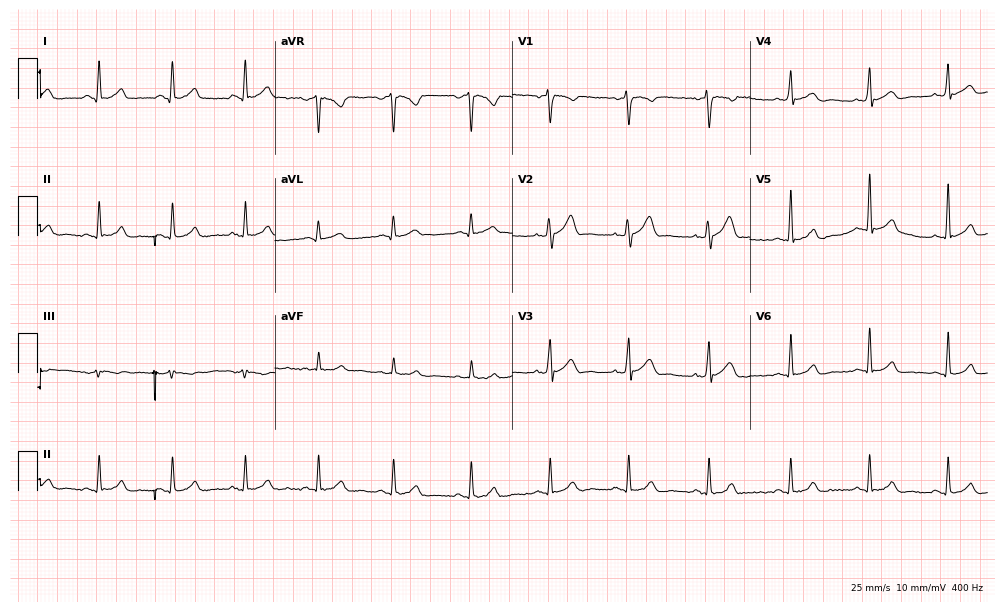
Resting 12-lead electrocardiogram. Patient: a 40-year-old male. Read as a normal ECG.